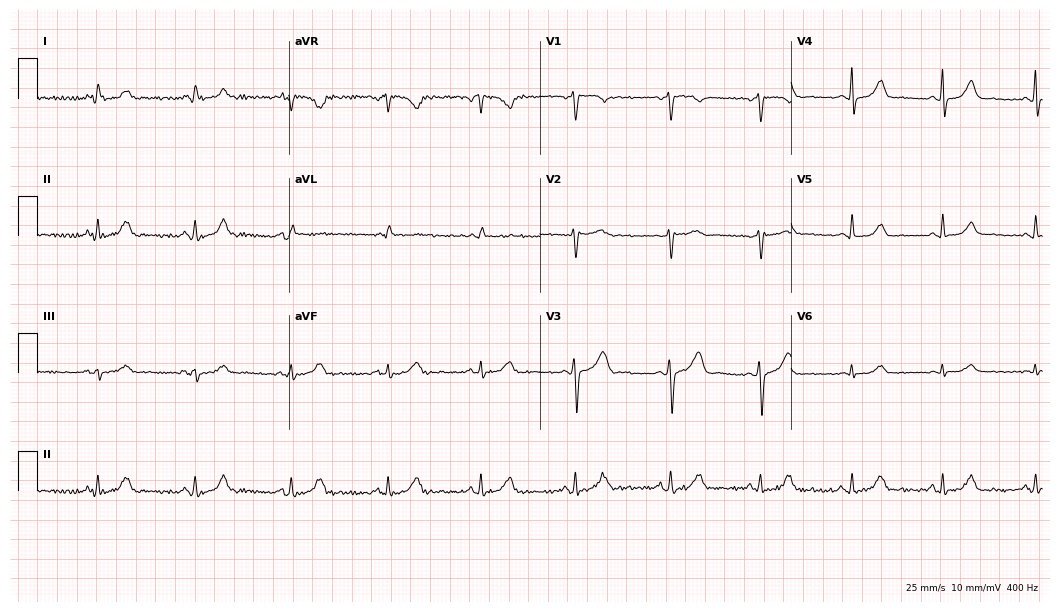
Standard 12-lead ECG recorded from a 43-year-old woman. Read as a normal ECG.